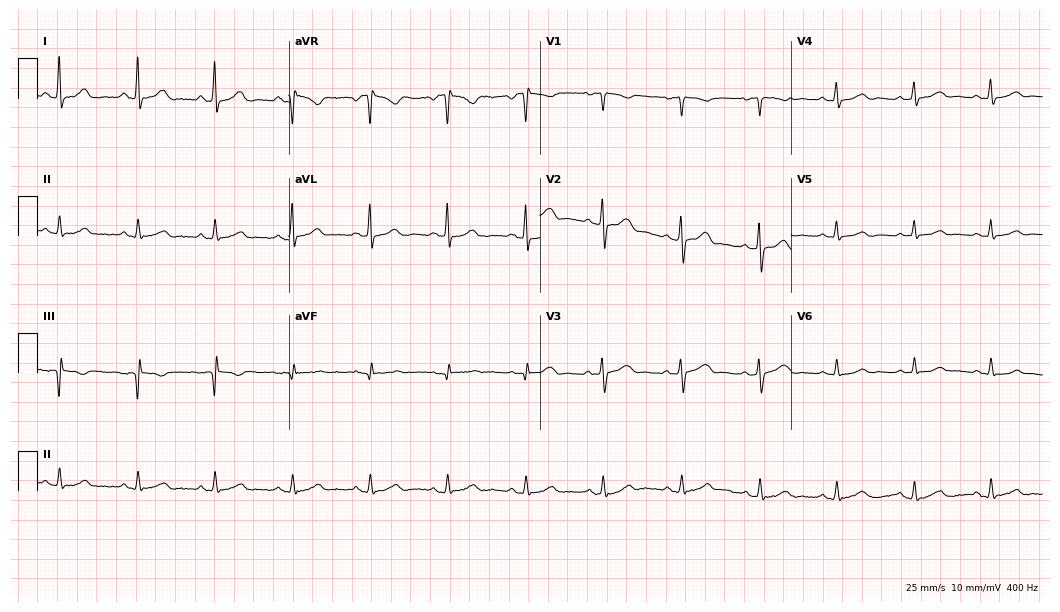
Electrocardiogram (10.2-second recording at 400 Hz), a female patient, 42 years old. Overall reading on record: normal ECG.